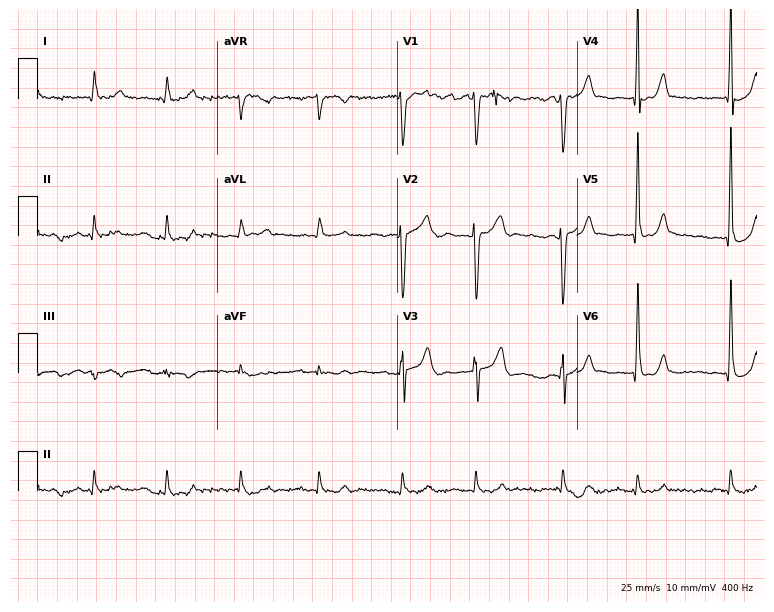
Standard 12-lead ECG recorded from a male patient, 84 years old. None of these six findings is recorded: first-degree AV block, right bundle branch block (RBBB), left bundle branch block (LBBB), sinus bradycardia, atrial fibrillation (AF), sinus tachycardia. Only these six findings were labelled.